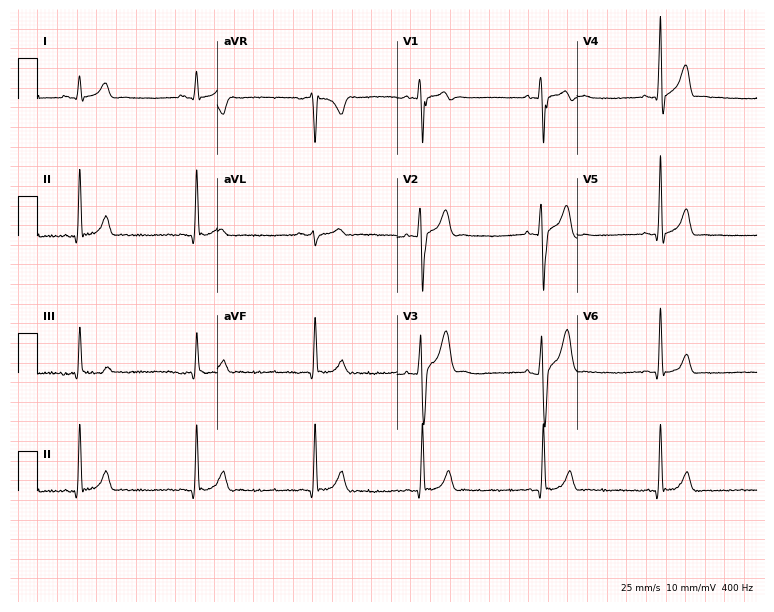
Electrocardiogram, a 25-year-old man. Overall reading on record: normal ECG.